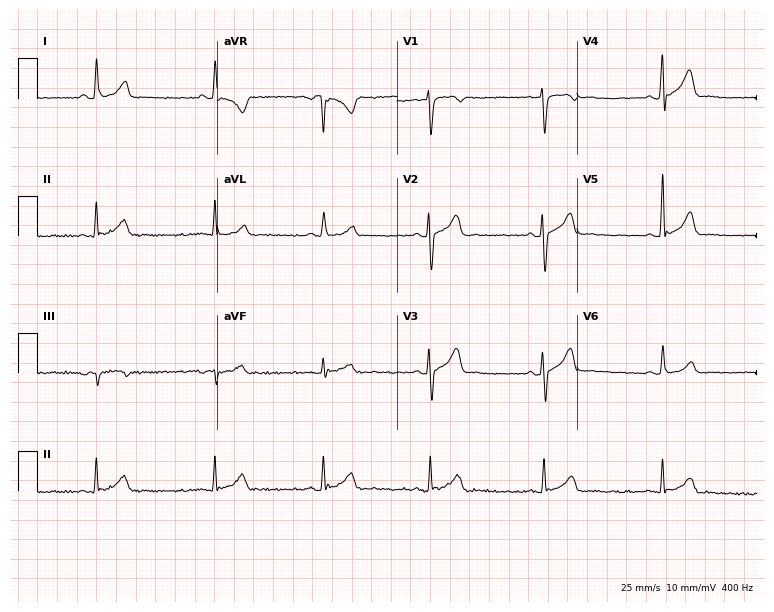
12-lead ECG from a male, 25 years old. Screened for six findings — first-degree AV block, right bundle branch block (RBBB), left bundle branch block (LBBB), sinus bradycardia, atrial fibrillation (AF), sinus tachycardia — none is recorded. Findings outside these six are not listed.